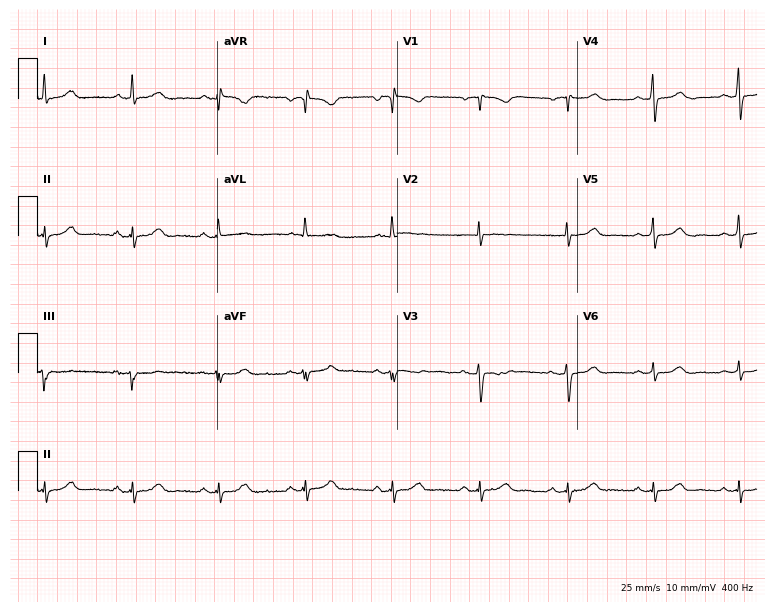
ECG (7.3-second recording at 400 Hz) — a 79-year-old woman. Labelled as a normal ECG.